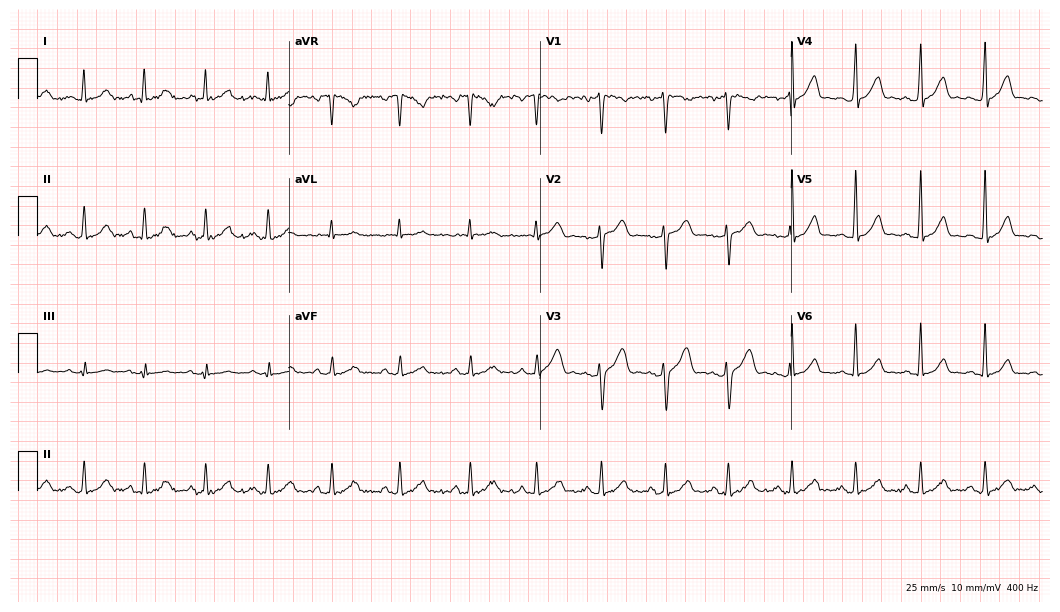
Resting 12-lead electrocardiogram. Patient: a man, 32 years old. Read as a normal ECG.